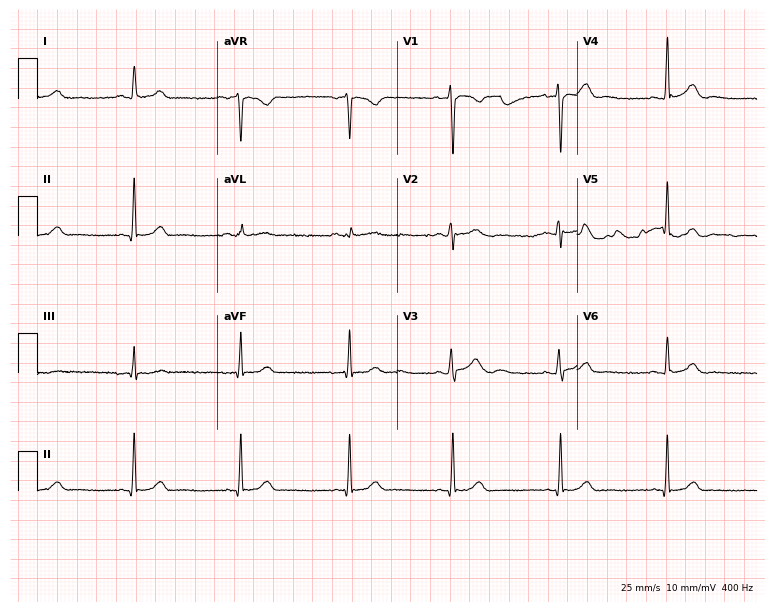
12-lead ECG (7.3-second recording at 400 Hz) from a female patient, 22 years old. Labelled as a normal ECG.